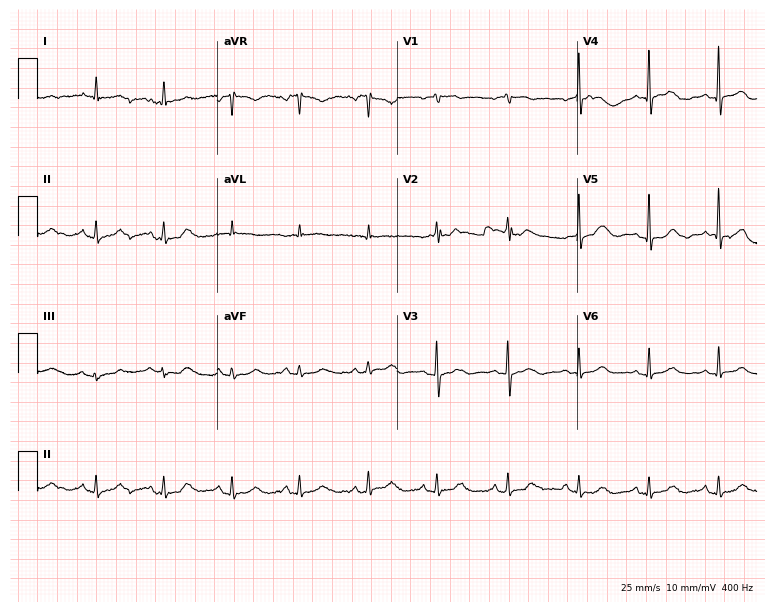
12-lead ECG (7.3-second recording at 400 Hz) from a female, 64 years old. Labelled as a normal ECG.